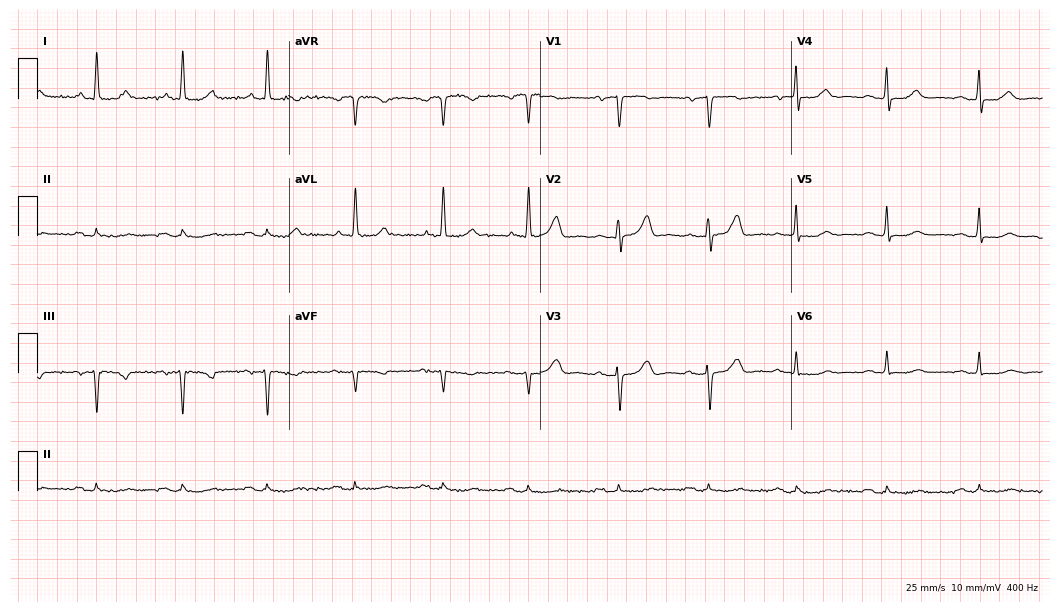
Electrocardiogram (10.2-second recording at 400 Hz), a female, 62 years old. Overall reading on record: normal ECG.